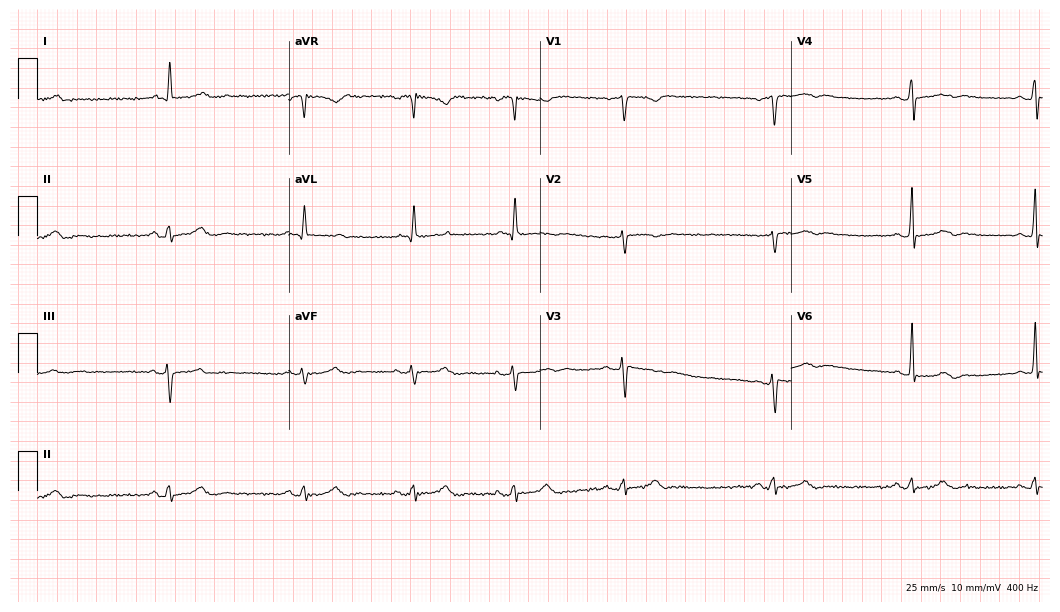
Resting 12-lead electrocardiogram (10.2-second recording at 400 Hz). Patient: a 58-year-old female. None of these six findings is recorded: first-degree AV block, right bundle branch block, left bundle branch block, sinus bradycardia, atrial fibrillation, sinus tachycardia.